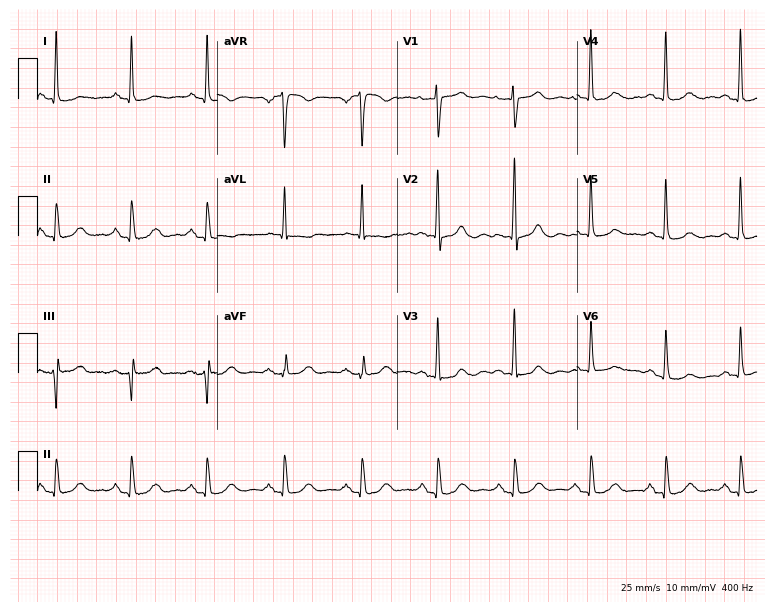
ECG — a female, 81 years old. Screened for six findings — first-degree AV block, right bundle branch block (RBBB), left bundle branch block (LBBB), sinus bradycardia, atrial fibrillation (AF), sinus tachycardia — none is recorded.